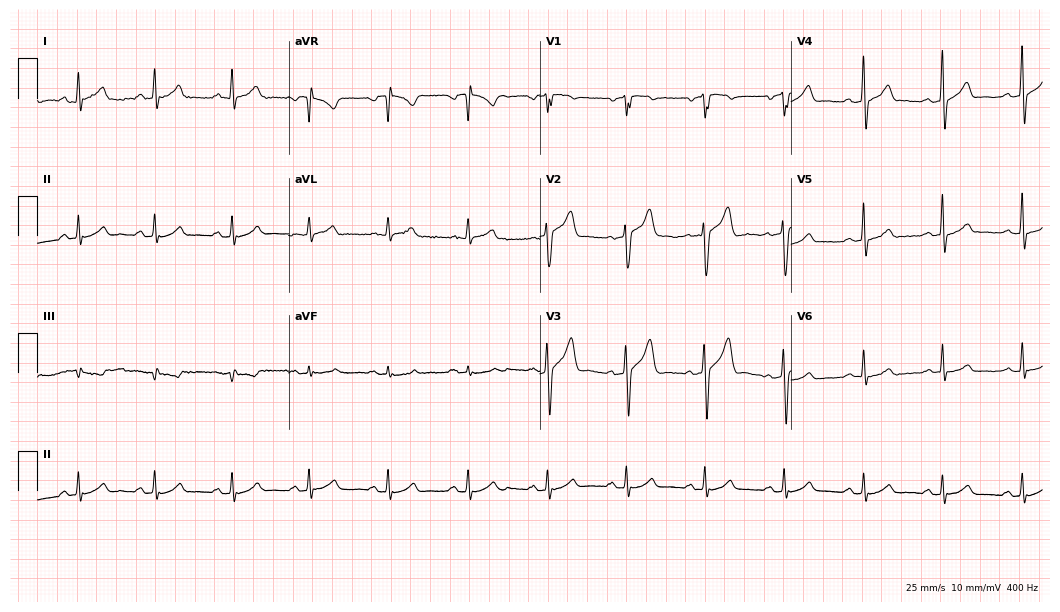
12-lead ECG from a 32-year-old male patient (10.2-second recording at 400 Hz). Recorded interpretation: within normal limits.